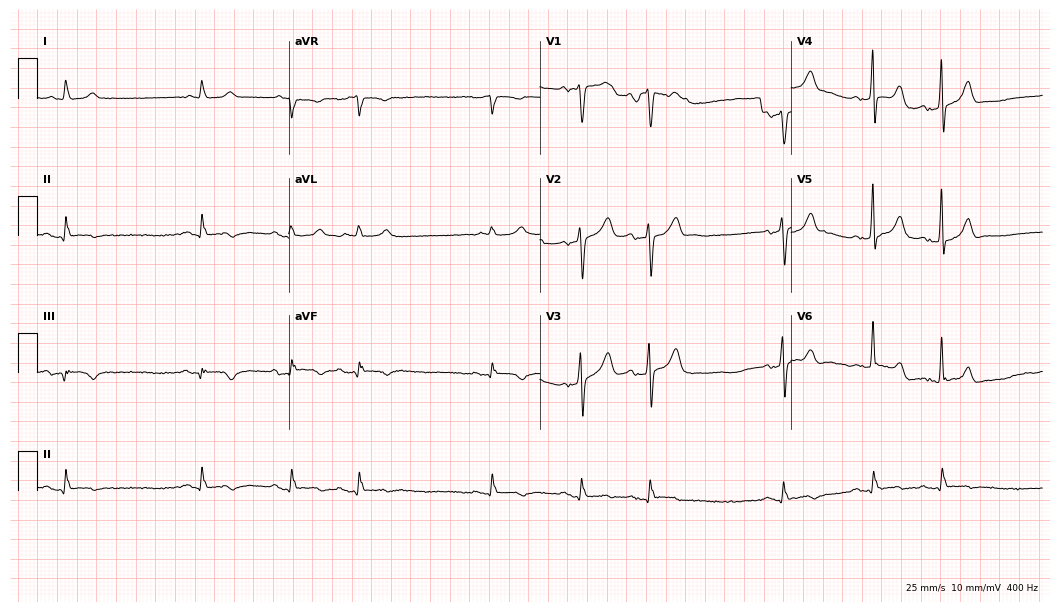
Standard 12-lead ECG recorded from a 76-year-old man. None of these six findings is recorded: first-degree AV block, right bundle branch block, left bundle branch block, sinus bradycardia, atrial fibrillation, sinus tachycardia. Only these six findings were labelled.